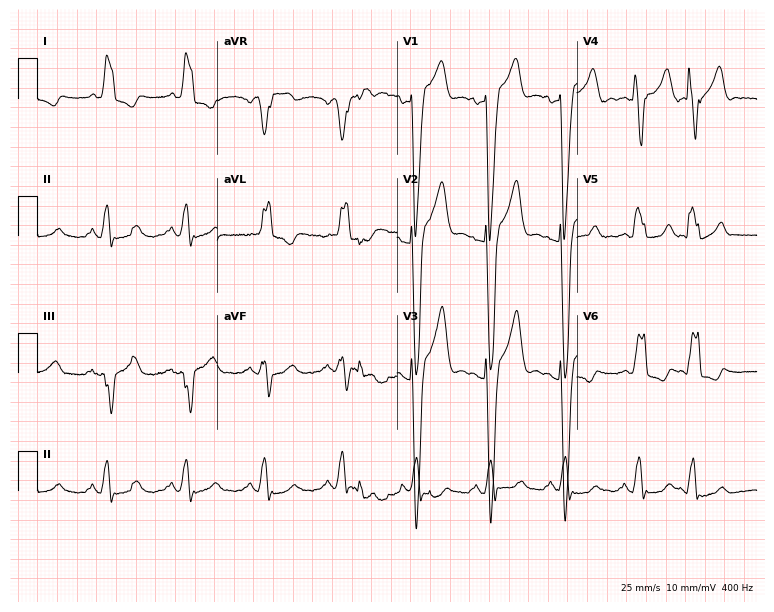
12-lead ECG from a woman, 75 years old. Shows left bundle branch block (LBBB).